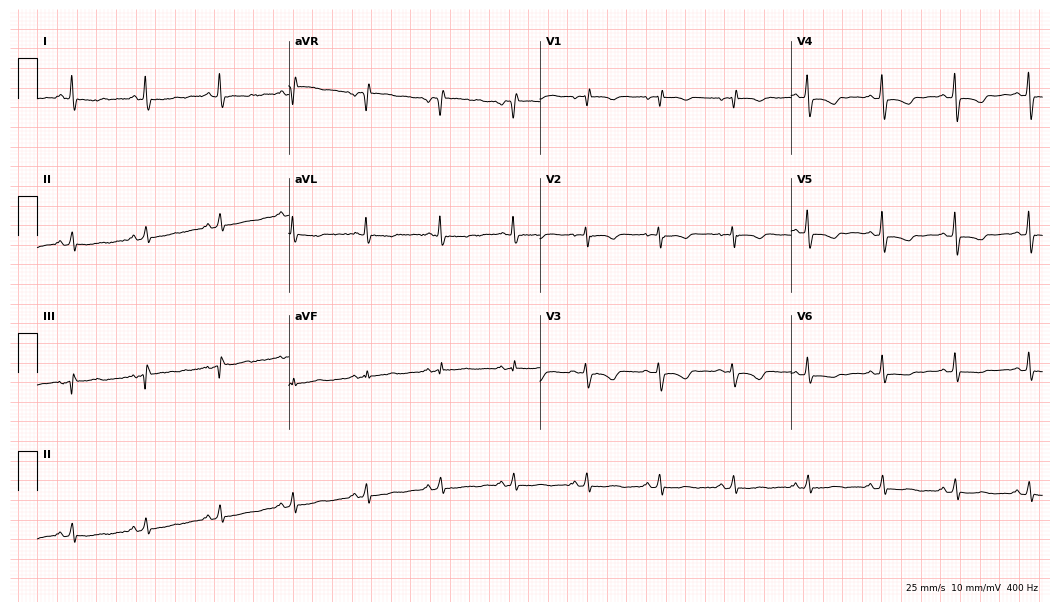
Electrocardiogram (10.2-second recording at 400 Hz), a female, 64 years old. Of the six screened findings (first-degree AV block, right bundle branch block, left bundle branch block, sinus bradycardia, atrial fibrillation, sinus tachycardia), none is recorded.